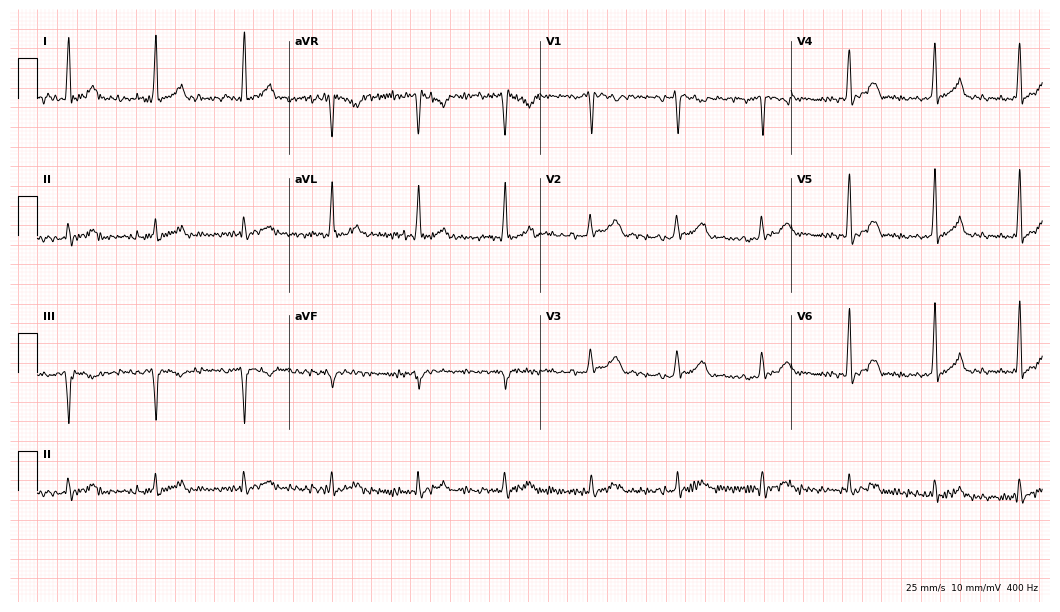
Standard 12-lead ECG recorded from a 44-year-old male. Read as a normal ECG.